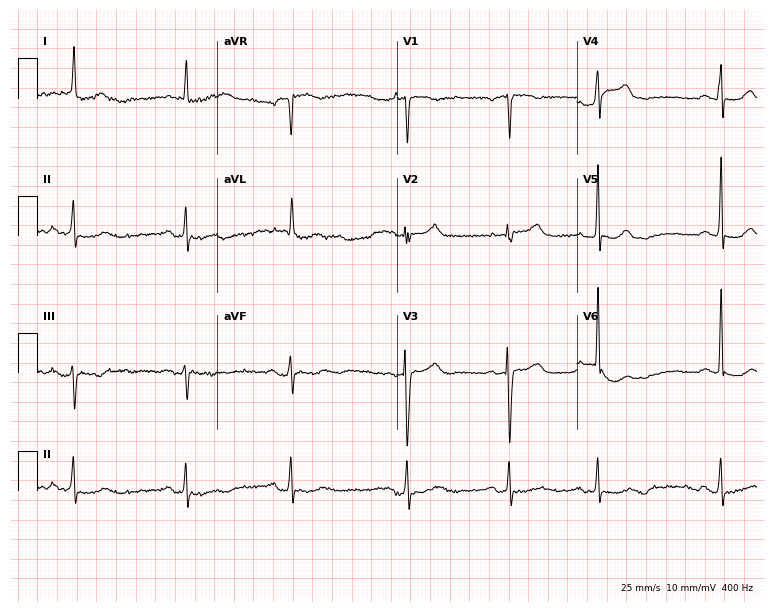
Resting 12-lead electrocardiogram. Patient: an 82-year-old female. Read as a normal ECG.